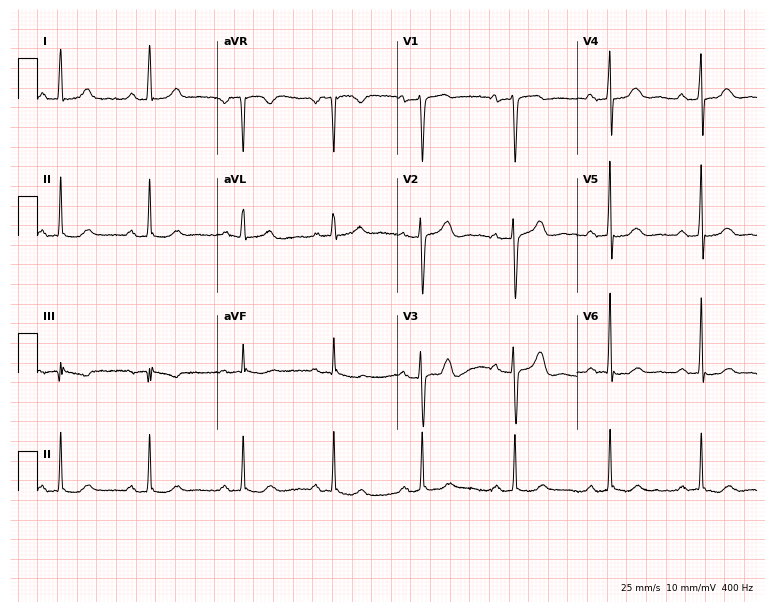
12-lead ECG from a 61-year-old female. Labelled as a normal ECG.